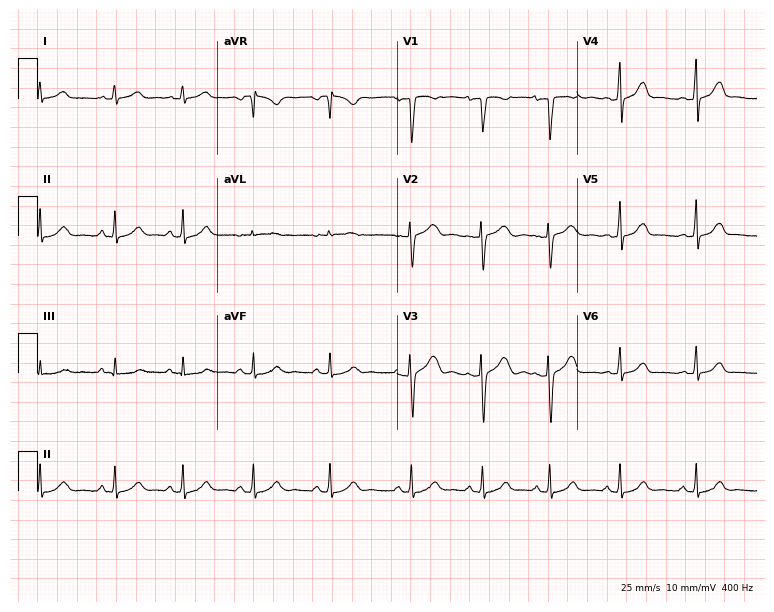
12-lead ECG from a female, 25 years old. Screened for six findings — first-degree AV block, right bundle branch block (RBBB), left bundle branch block (LBBB), sinus bradycardia, atrial fibrillation (AF), sinus tachycardia — none is recorded. Findings outside these six are not listed.